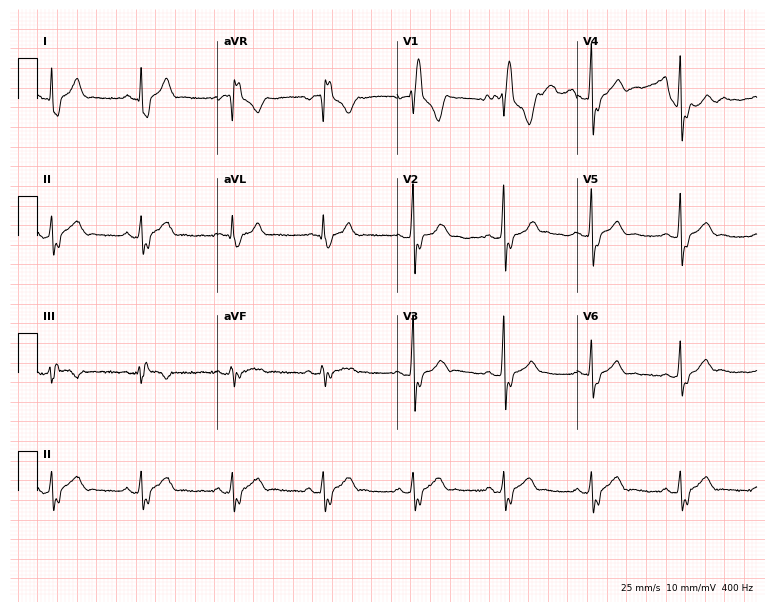
12-lead ECG (7.3-second recording at 400 Hz) from a male, 39 years old. Findings include right bundle branch block.